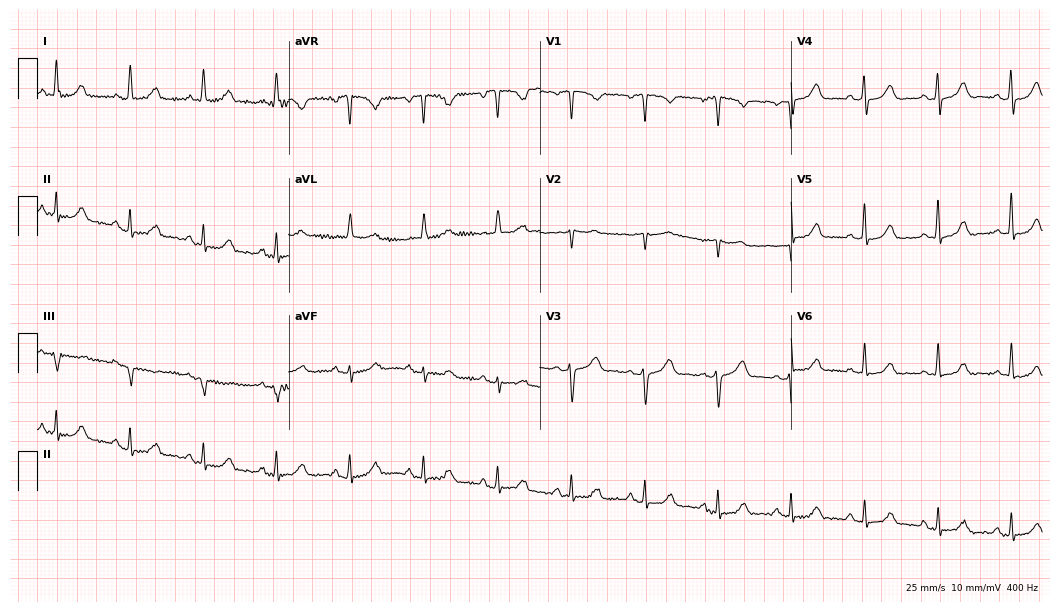
12-lead ECG from a 56-year-old woman (10.2-second recording at 400 Hz). No first-degree AV block, right bundle branch block (RBBB), left bundle branch block (LBBB), sinus bradycardia, atrial fibrillation (AF) or sinus tachycardia recorded for this tracing.